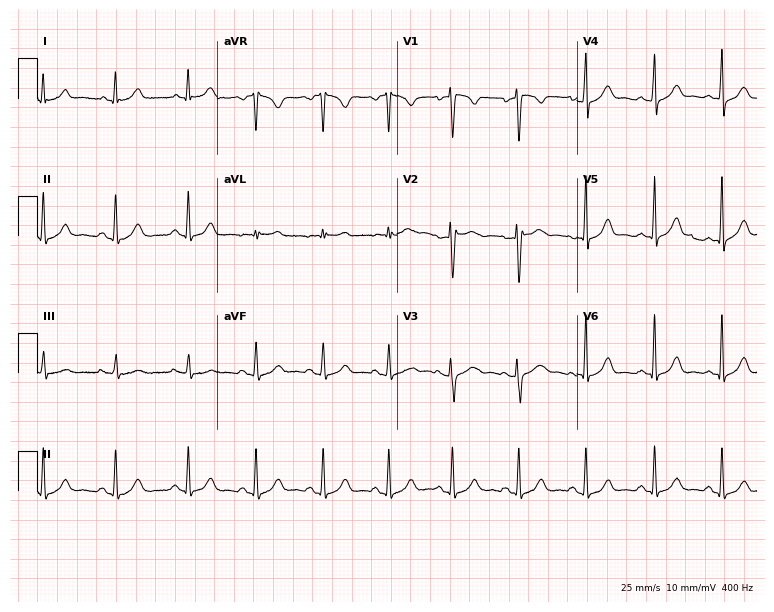
Standard 12-lead ECG recorded from a 37-year-old female (7.3-second recording at 400 Hz). Read as a normal ECG.